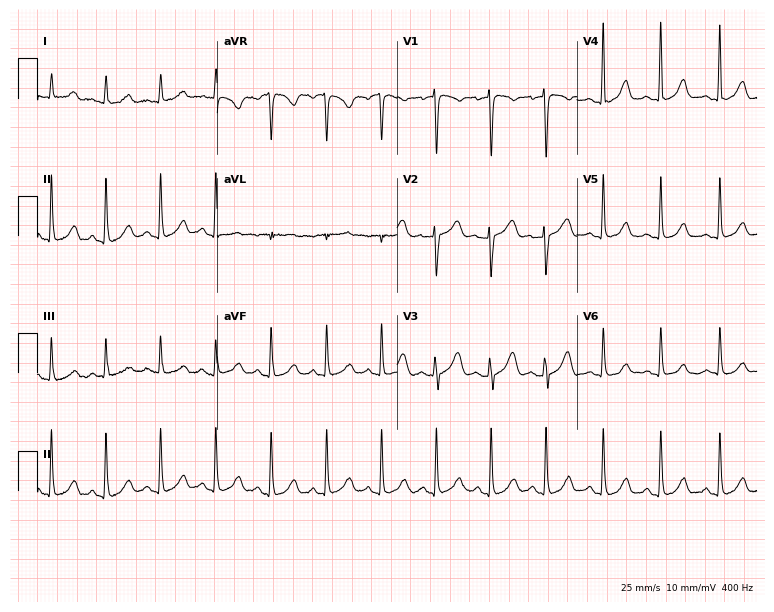
12-lead ECG from a 55-year-old female. Shows sinus tachycardia (a sinus rate of 100 beats per minute or more).